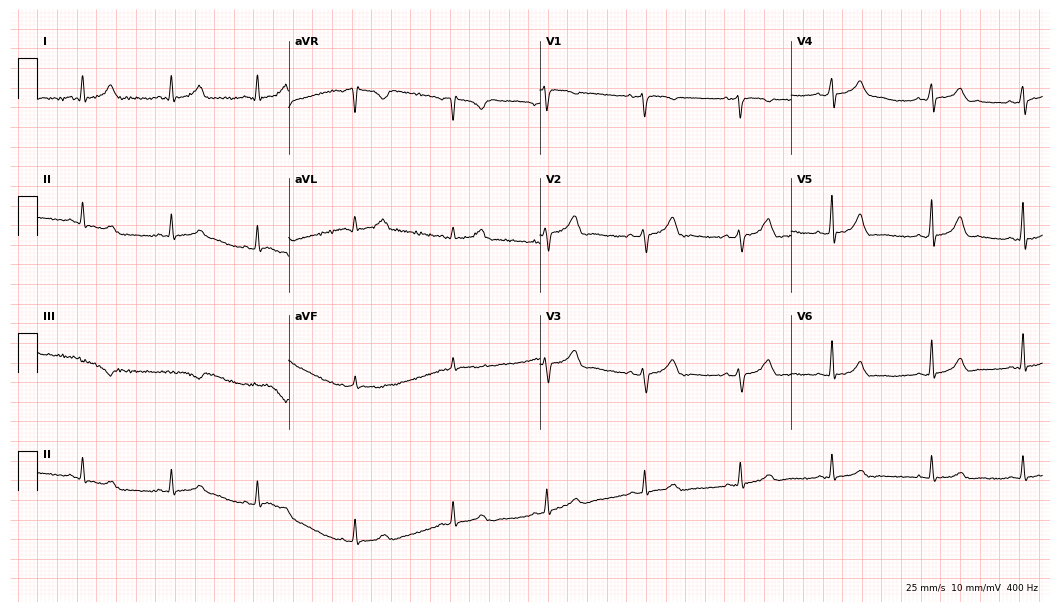
Electrocardiogram (10.2-second recording at 400 Hz), a 36-year-old female. Of the six screened findings (first-degree AV block, right bundle branch block, left bundle branch block, sinus bradycardia, atrial fibrillation, sinus tachycardia), none is recorded.